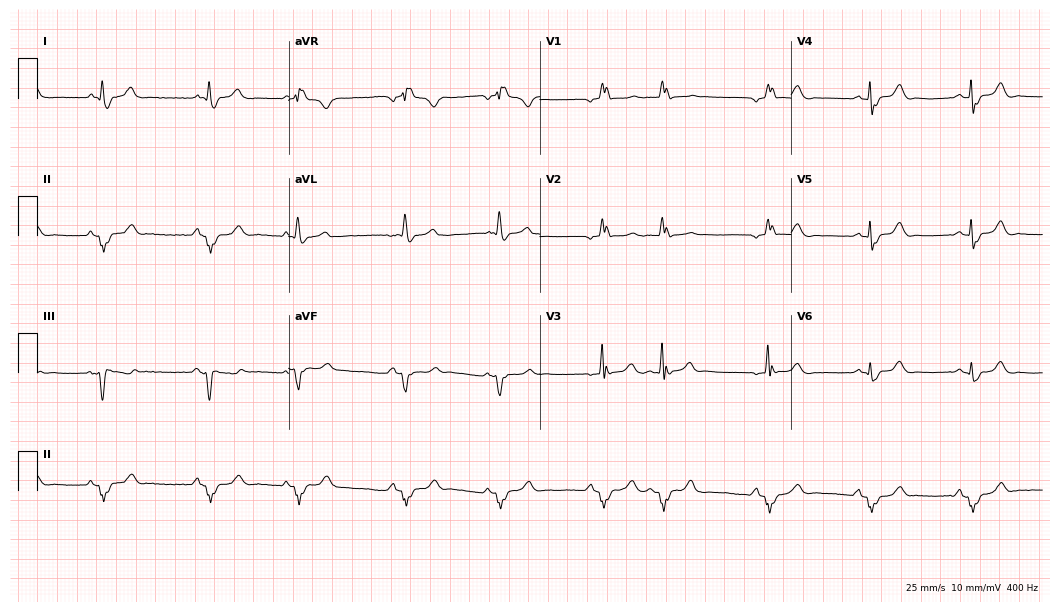
ECG (10.2-second recording at 400 Hz) — a male patient, 84 years old. Screened for six findings — first-degree AV block, right bundle branch block, left bundle branch block, sinus bradycardia, atrial fibrillation, sinus tachycardia — none is recorded. Other findings, if any, are not listed.